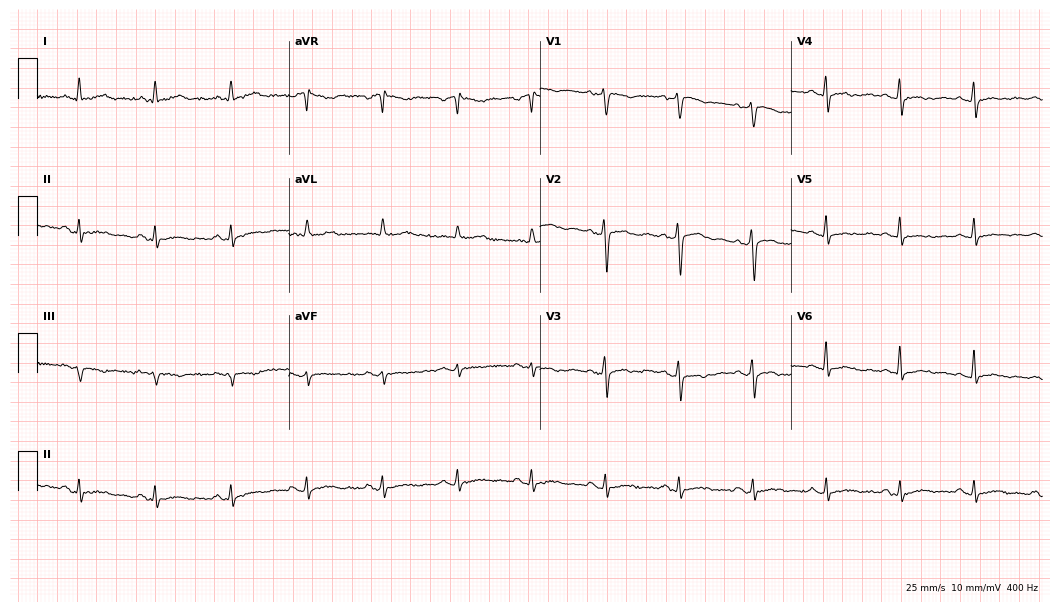
Resting 12-lead electrocardiogram. Patient: a 47-year-old male. None of these six findings is recorded: first-degree AV block, right bundle branch block (RBBB), left bundle branch block (LBBB), sinus bradycardia, atrial fibrillation (AF), sinus tachycardia.